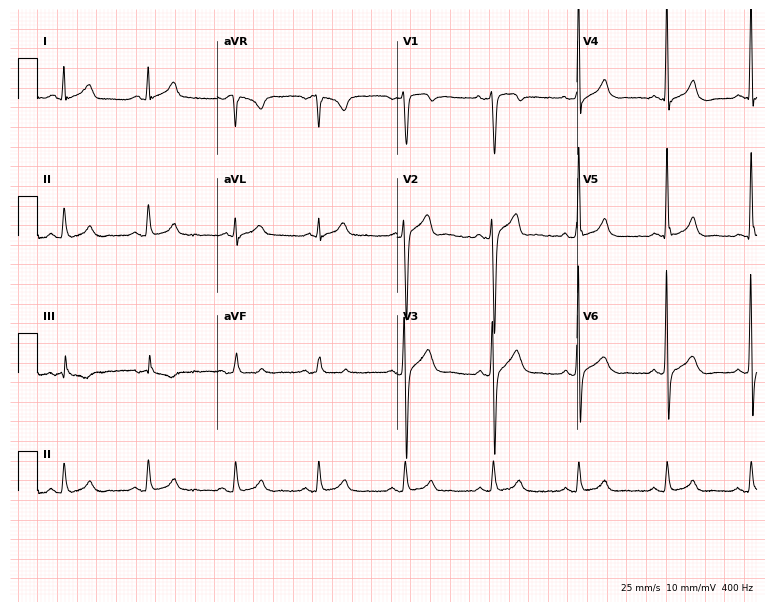
12-lead ECG from a 25-year-old male. No first-degree AV block, right bundle branch block (RBBB), left bundle branch block (LBBB), sinus bradycardia, atrial fibrillation (AF) or sinus tachycardia recorded for this tracing. Only these six findings were labelled.